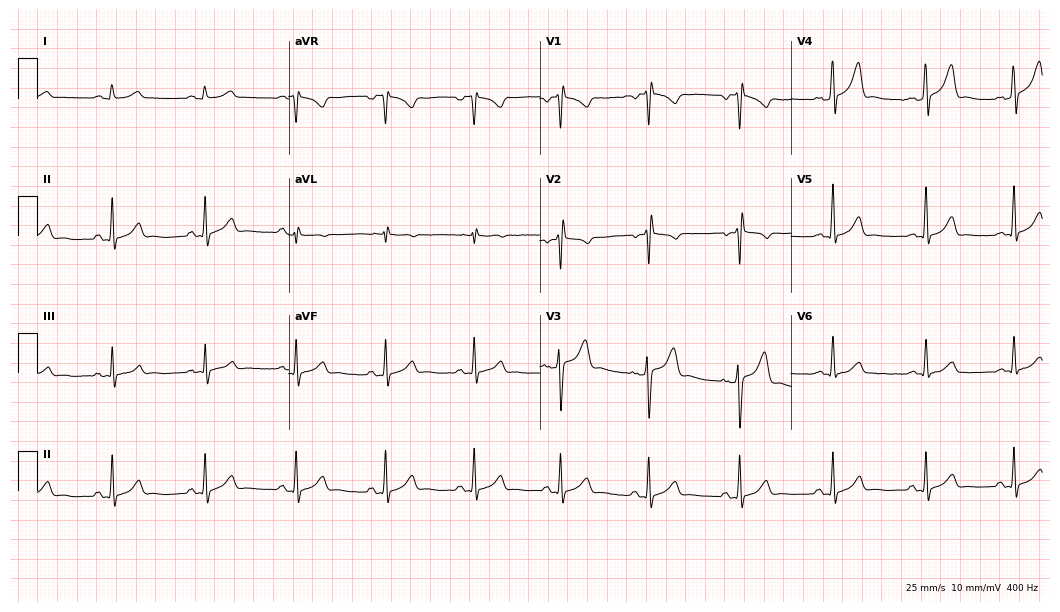
Resting 12-lead electrocardiogram. Patient: a man, 36 years old. None of these six findings is recorded: first-degree AV block, right bundle branch block, left bundle branch block, sinus bradycardia, atrial fibrillation, sinus tachycardia.